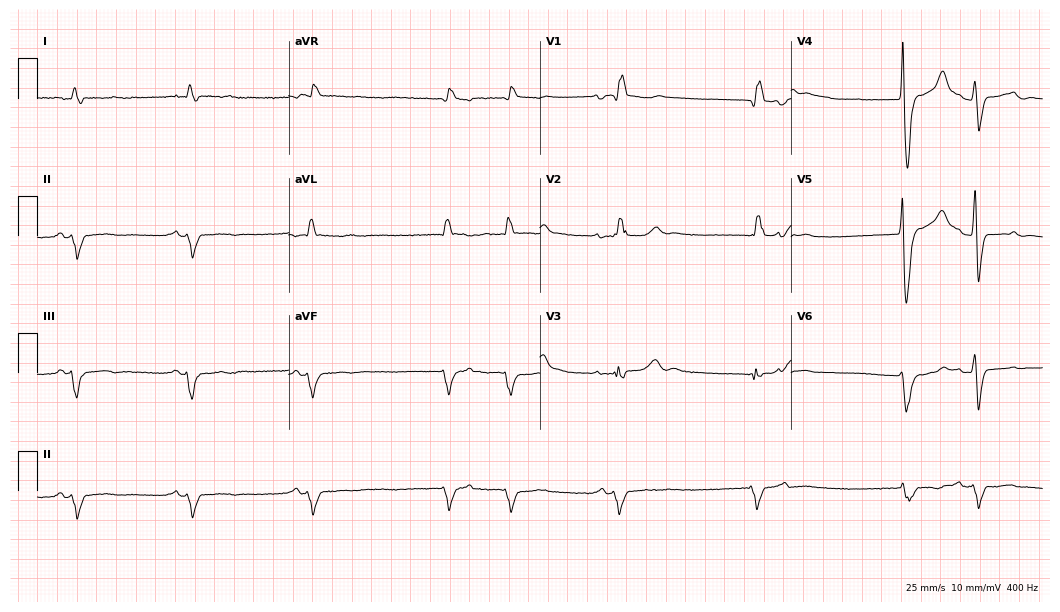
12-lead ECG from a 79-year-old man (10.2-second recording at 400 Hz). Shows right bundle branch block.